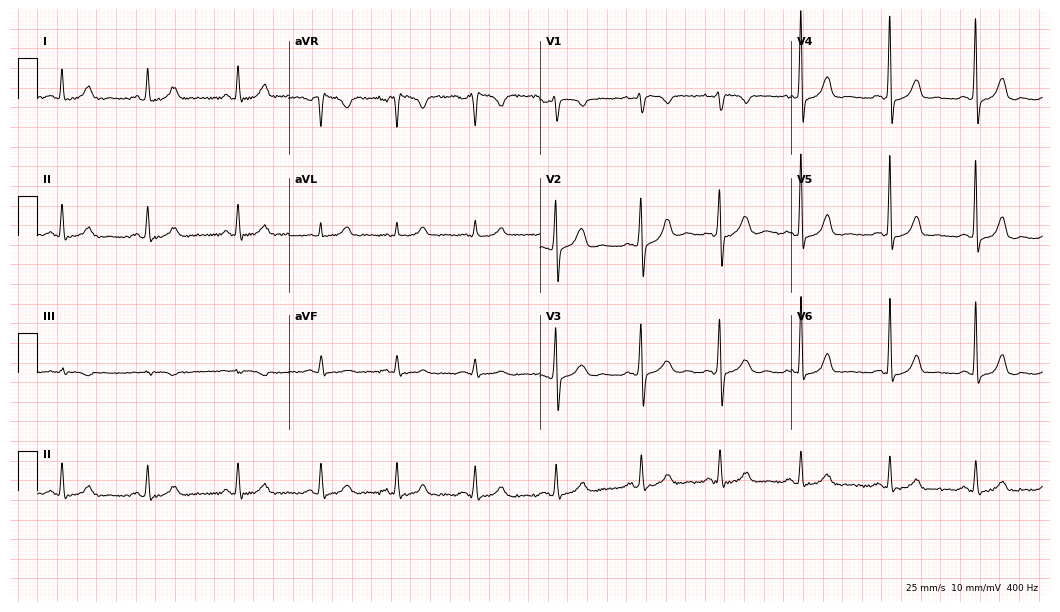
12-lead ECG from a 36-year-old woman (10.2-second recording at 400 Hz). Recorded interpretation: within normal limits.